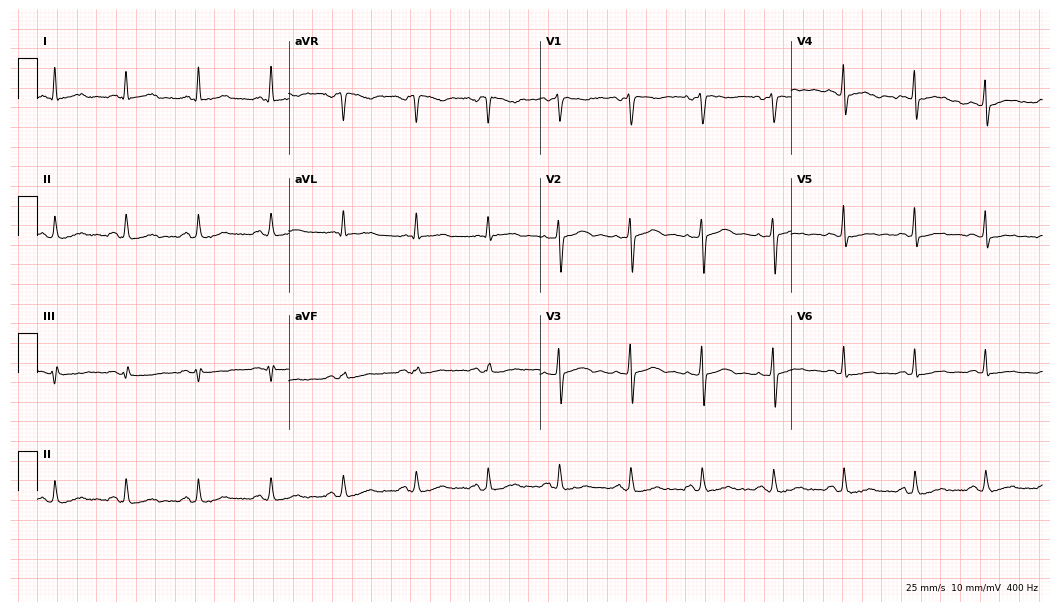
Standard 12-lead ECG recorded from a woman, 45 years old. None of these six findings is recorded: first-degree AV block, right bundle branch block, left bundle branch block, sinus bradycardia, atrial fibrillation, sinus tachycardia.